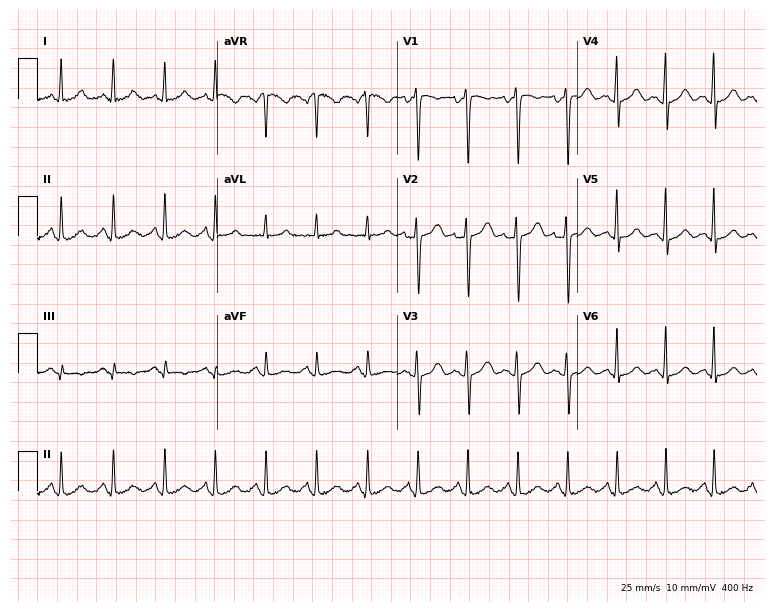
ECG (7.3-second recording at 400 Hz) — a female, 30 years old. Findings include sinus tachycardia (a sinus rate of 100 beats per minute or more).